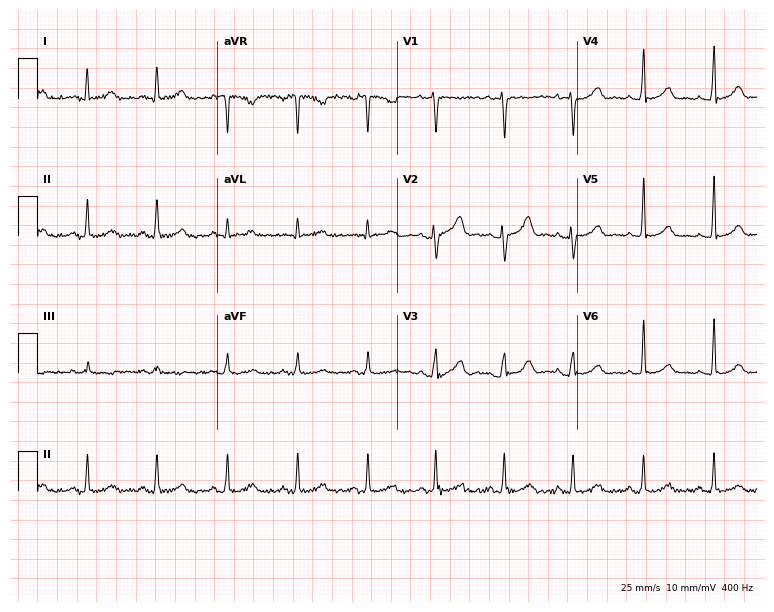
12-lead ECG from a 36-year-old female. Screened for six findings — first-degree AV block, right bundle branch block, left bundle branch block, sinus bradycardia, atrial fibrillation, sinus tachycardia — none is recorded.